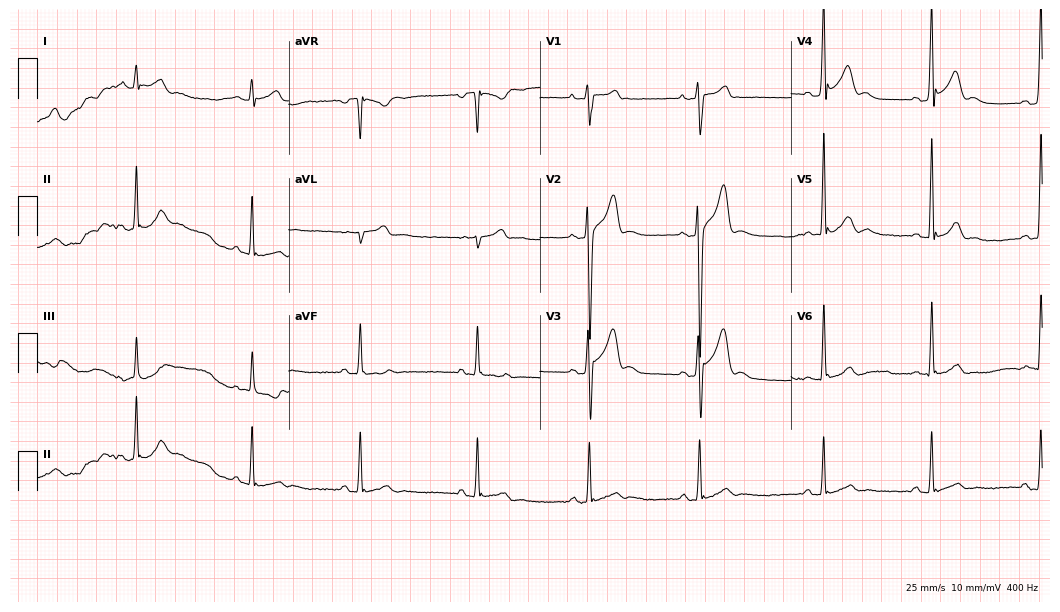
ECG (10.2-second recording at 400 Hz) — a 21-year-old male patient. Labelled as a normal ECG.